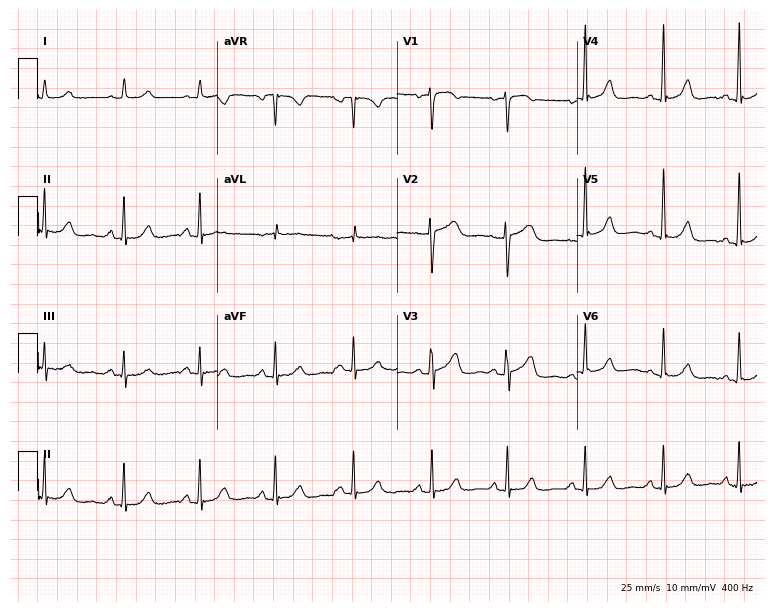
Electrocardiogram (7.3-second recording at 400 Hz), a female, 66 years old. Overall reading on record: normal ECG.